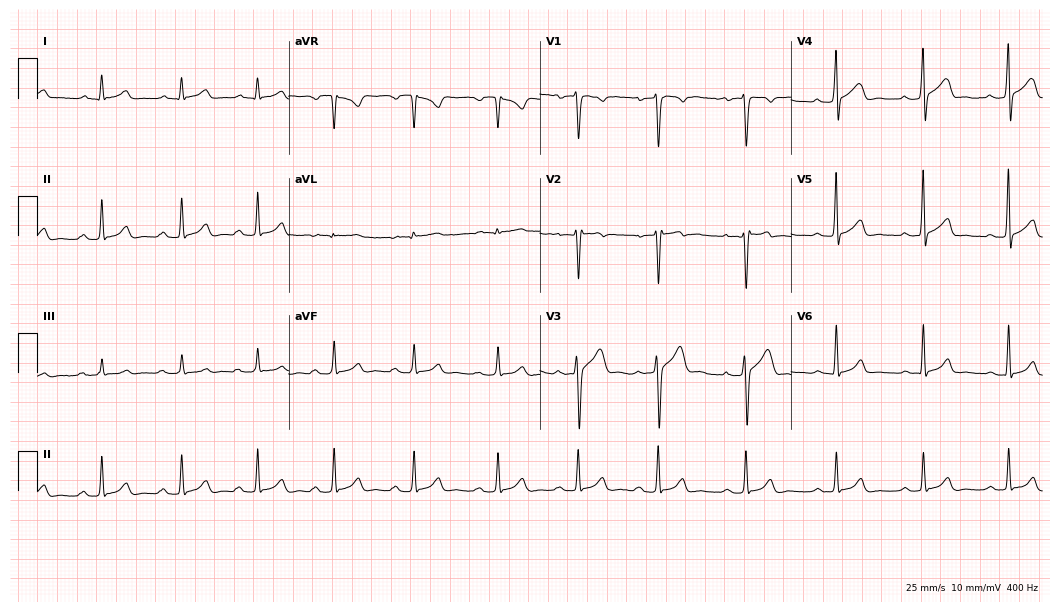
12-lead ECG (10.2-second recording at 400 Hz) from a 25-year-old male. Labelled as a normal ECG.